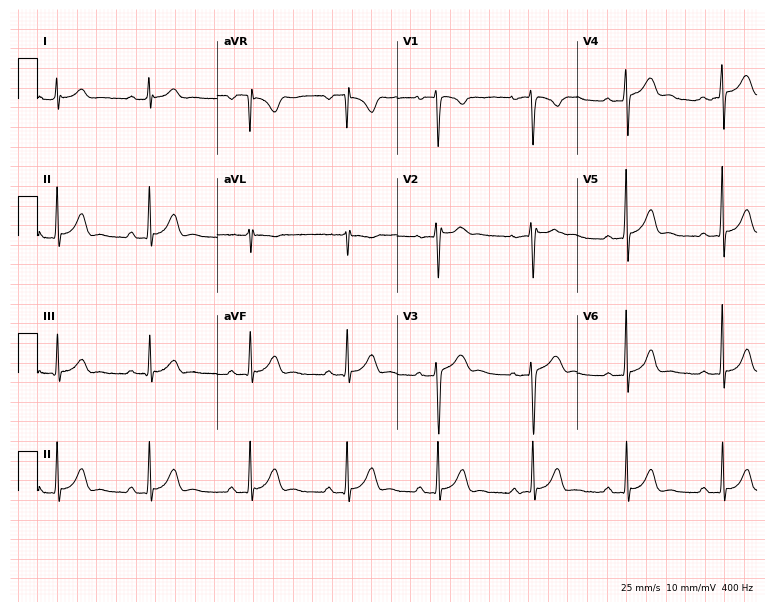
Electrocardiogram (7.3-second recording at 400 Hz), a female patient, 26 years old. Overall reading on record: normal ECG.